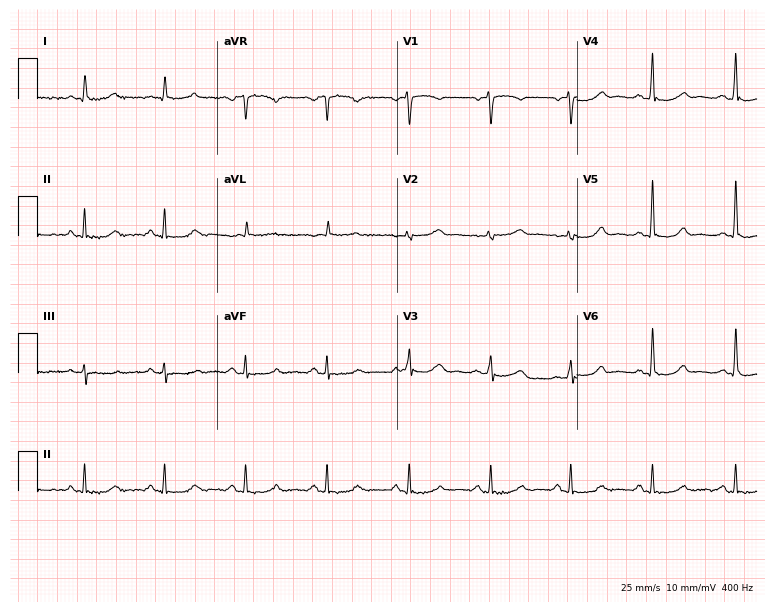
Standard 12-lead ECG recorded from a female patient, 60 years old. None of these six findings is recorded: first-degree AV block, right bundle branch block, left bundle branch block, sinus bradycardia, atrial fibrillation, sinus tachycardia. Other findings, if any, are not listed.